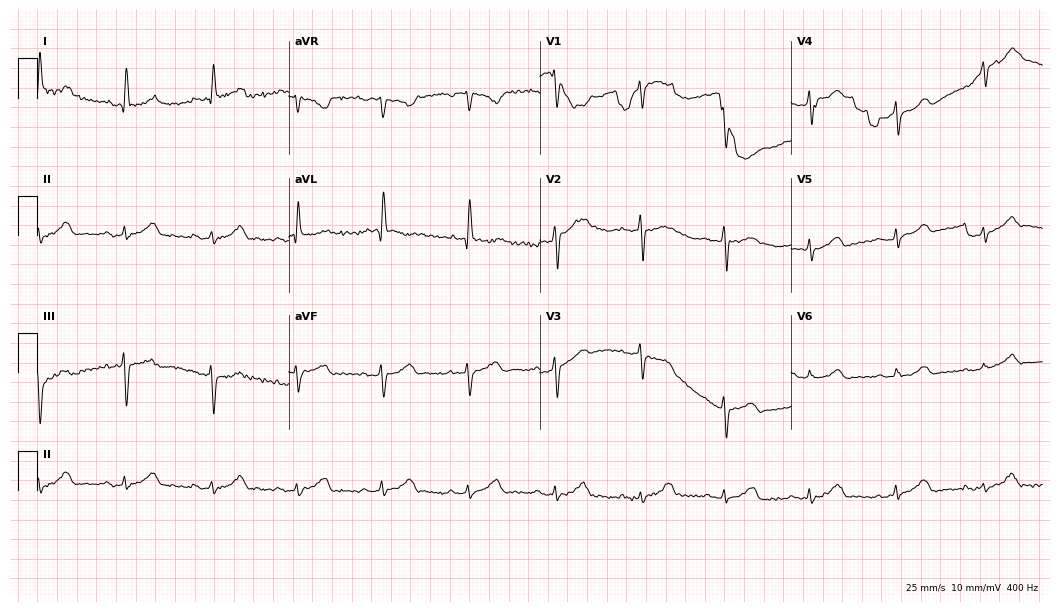
ECG — a man, 46 years old. Screened for six findings — first-degree AV block, right bundle branch block (RBBB), left bundle branch block (LBBB), sinus bradycardia, atrial fibrillation (AF), sinus tachycardia — none is recorded. Findings outside these six are not listed.